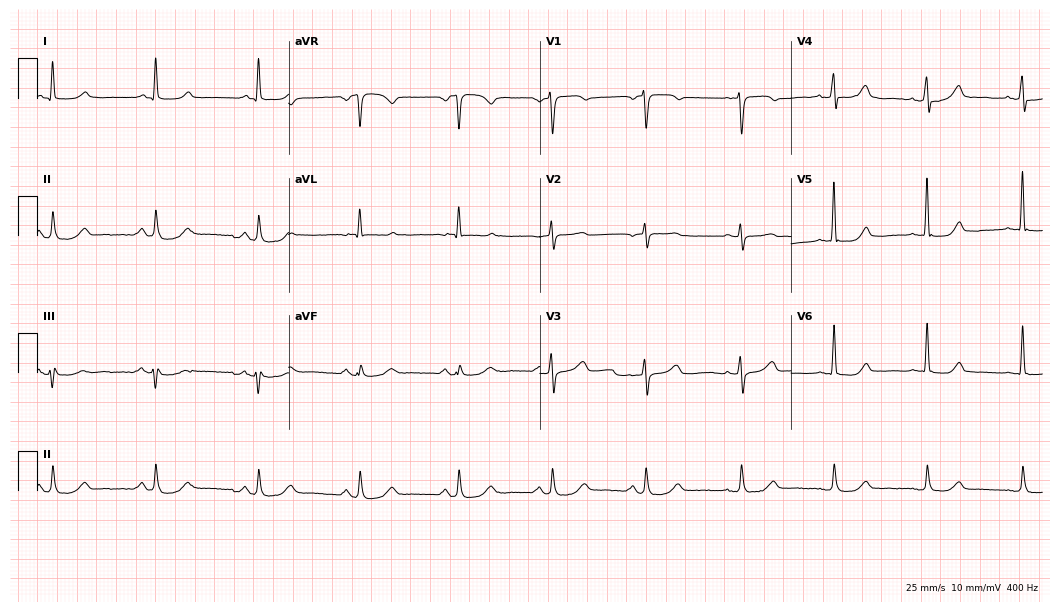
Electrocardiogram, a 60-year-old woman. Overall reading on record: normal ECG.